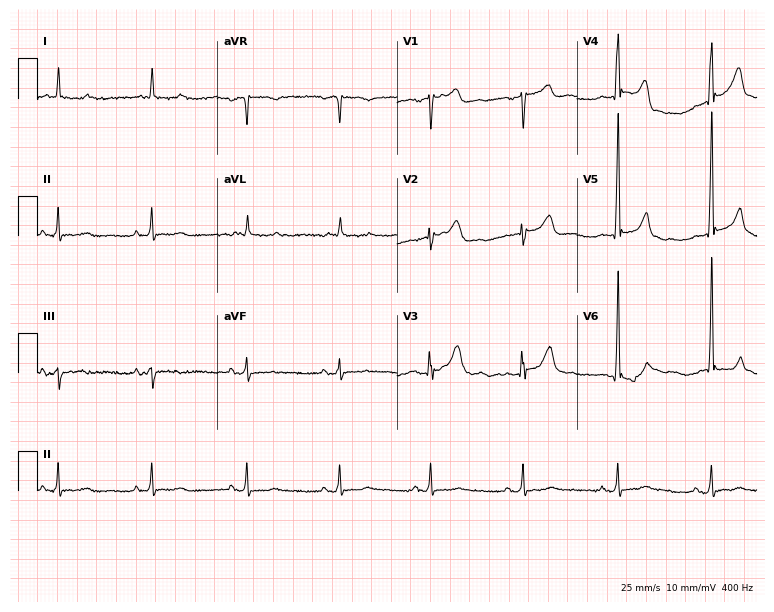
12-lead ECG from a 73-year-old male. No first-degree AV block, right bundle branch block, left bundle branch block, sinus bradycardia, atrial fibrillation or sinus tachycardia recorded for this tracing.